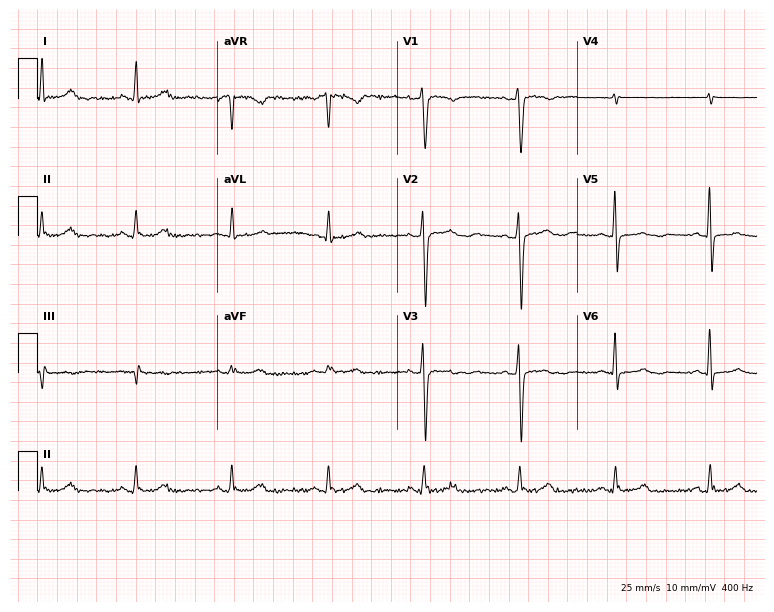
12-lead ECG from a female, 58 years old (7.3-second recording at 400 Hz). No first-degree AV block, right bundle branch block, left bundle branch block, sinus bradycardia, atrial fibrillation or sinus tachycardia recorded for this tracing. Findings outside these six are not listed.